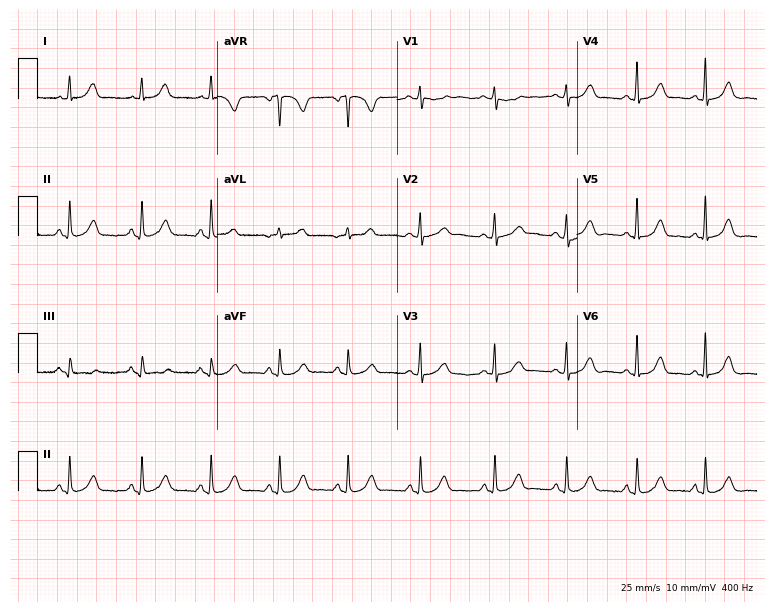
Resting 12-lead electrocardiogram (7.3-second recording at 400 Hz). Patient: a female, 37 years old. Read as a normal ECG.